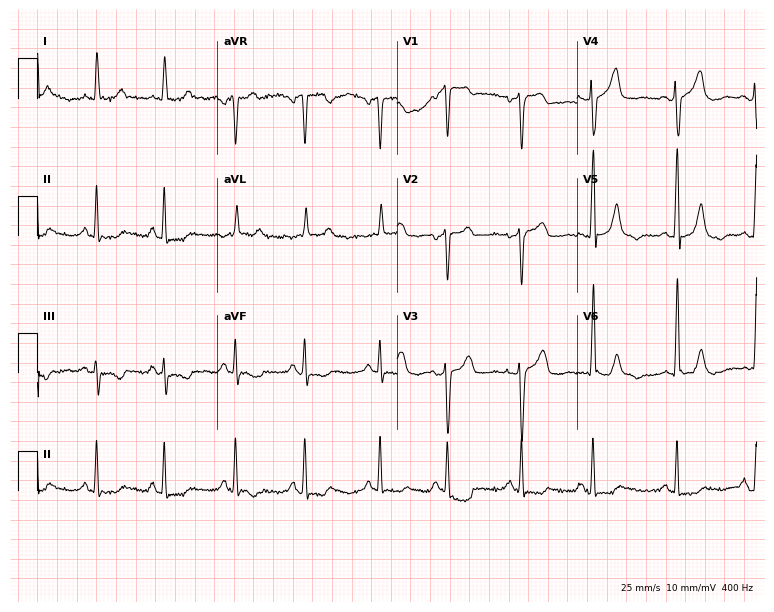
12-lead ECG from a 74-year-old female. No first-degree AV block, right bundle branch block, left bundle branch block, sinus bradycardia, atrial fibrillation or sinus tachycardia recorded for this tracing. Other findings, if any, are not listed.